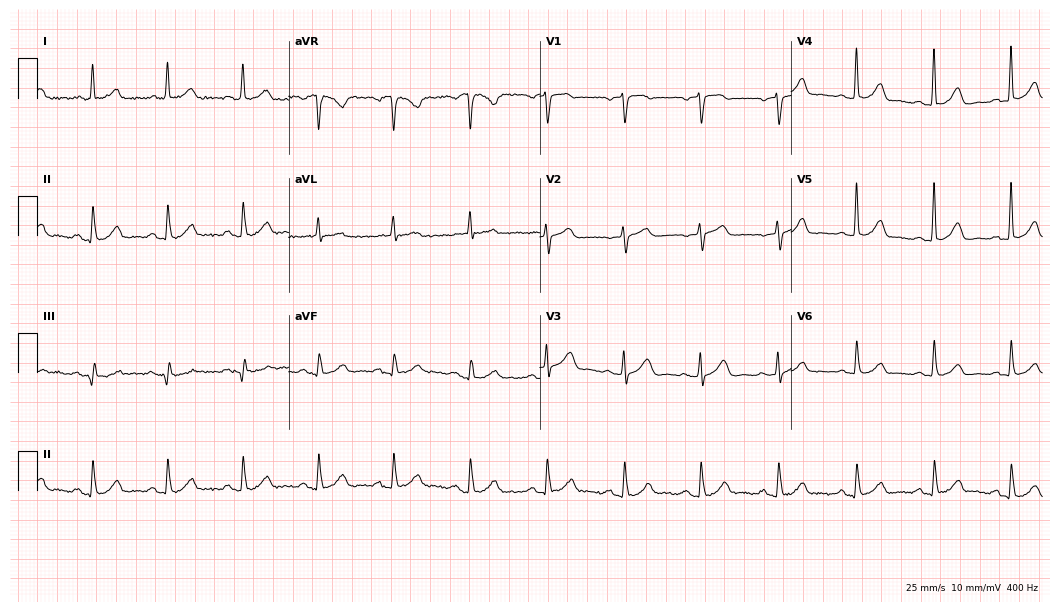
12-lead ECG from an 80-year-old female. Recorded interpretation: within normal limits.